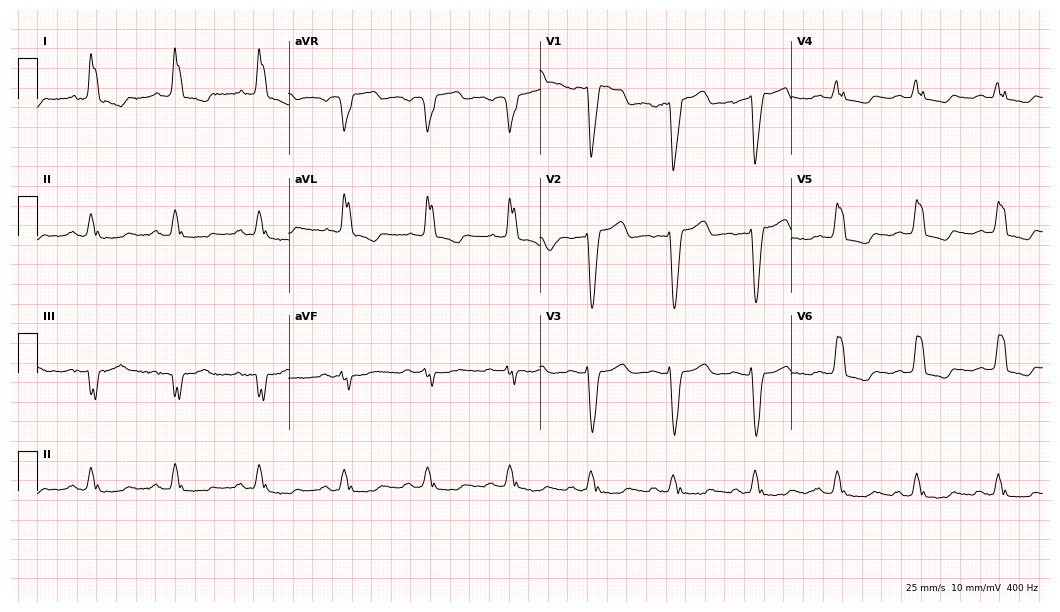
Electrocardiogram, a woman, 84 years old. Interpretation includes left bundle branch block.